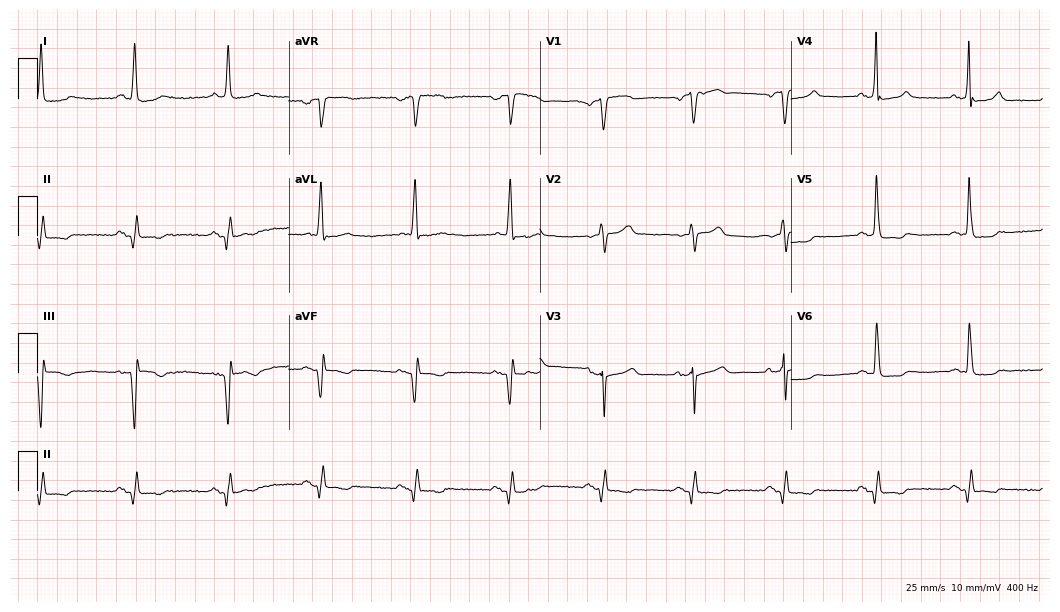
ECG — a male, 67 years old. Screened for six findings — first-degree AV block, right bundle branch block (RBBB), left bundle branch block (LBBB), sinus bradycardia, atrial fibrillation (AF), sinus tachycardia — none is recorded.